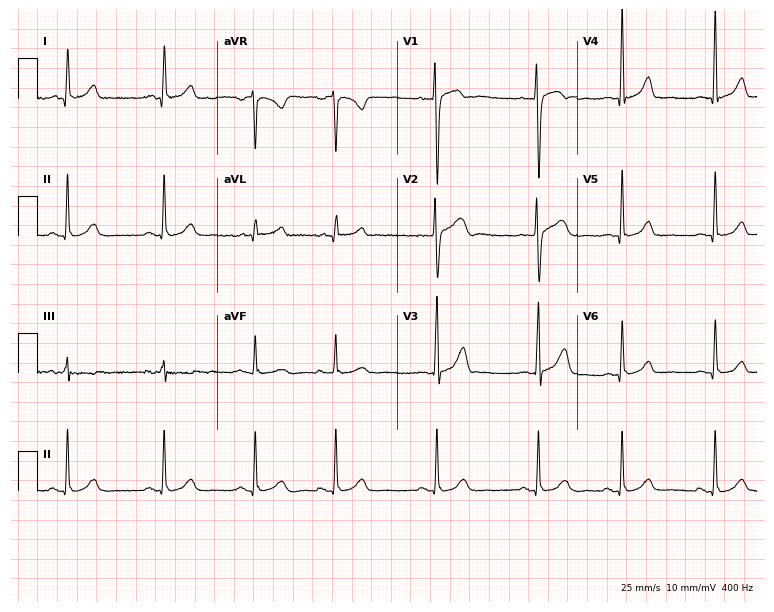
Standard 12-lead ECG recorded from a 35-year-old female patient. None of these six findings is recorded: first-degree AV block, right bundle branch block, left bundle branch block, sinus bradycardia, atrial fibrillation, sinus tachycardia. Other findings, if any, are not listed.